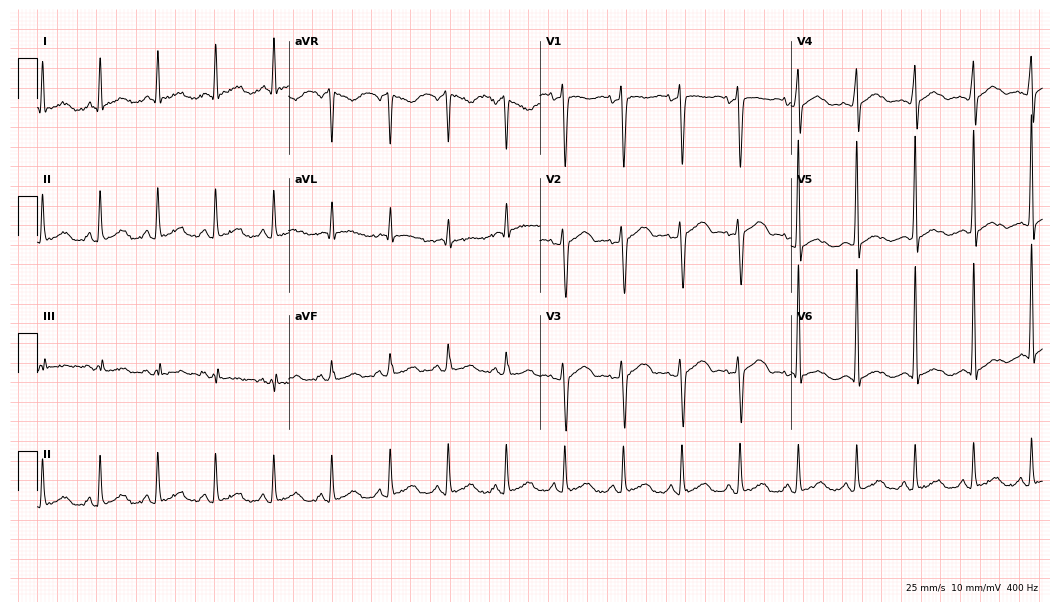
12-lead ECG from a 44-year-old female (10.2-second recording at 400 Hz). No first-degree AV block, right bundle branch block (RBBB), left bundle branch block (LBBB), sinus bradycardia, atrial fibrillation (AF) or sinus tachycardia recorded for this tracing.